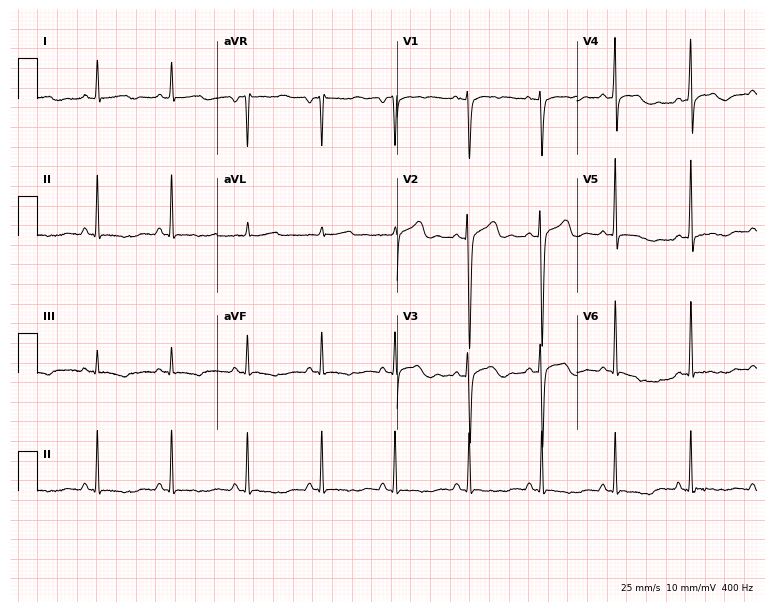
Resting 12-lead electrocardiogram. Patient: a woman, 39 years old. None of these six findings is recorded: first-degree AV block, right bundle branch block, left bundle branch block, sinus bradycardia, atrial fibrillation, sinus tachycardia. Only these six findings were labelled.